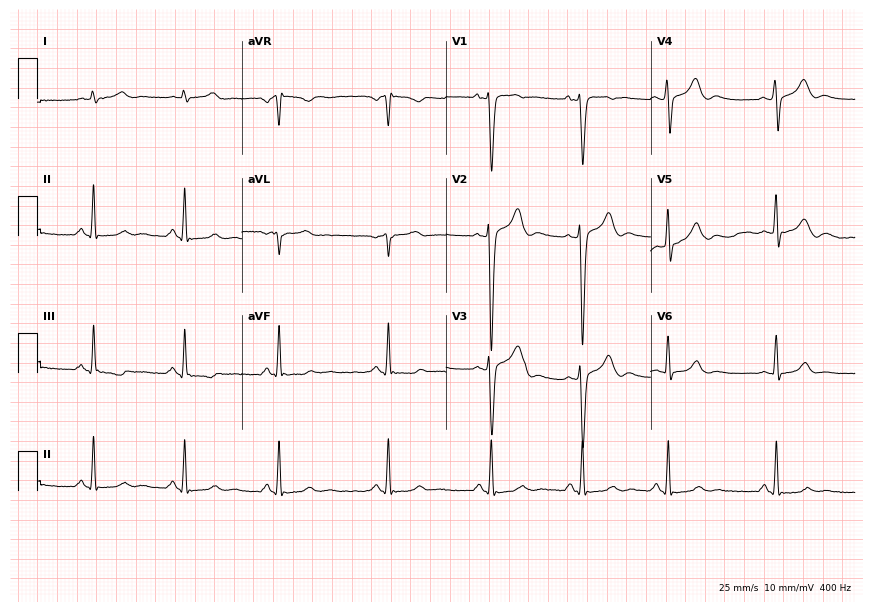
Resting 12-lead electrocardiogram (8.3-second recording at 400 Hz). Patient: a male, 33 years old. Read as a normal ECG.